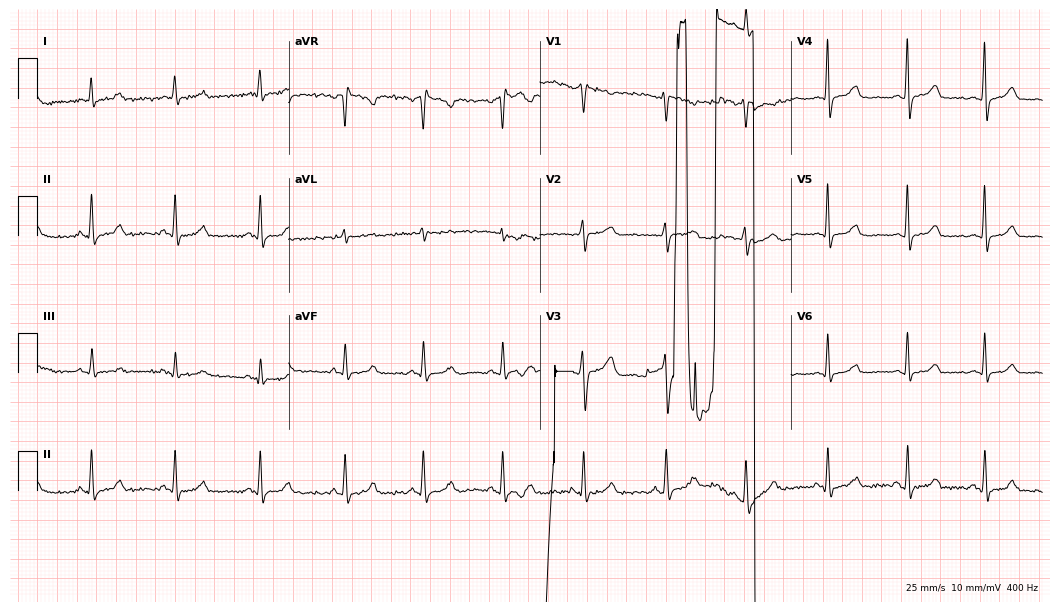
Standard 12-lead ECG recorded from a 41-year-old woman (10.2-second recording at 400 Hz). Read as a normal ECG.